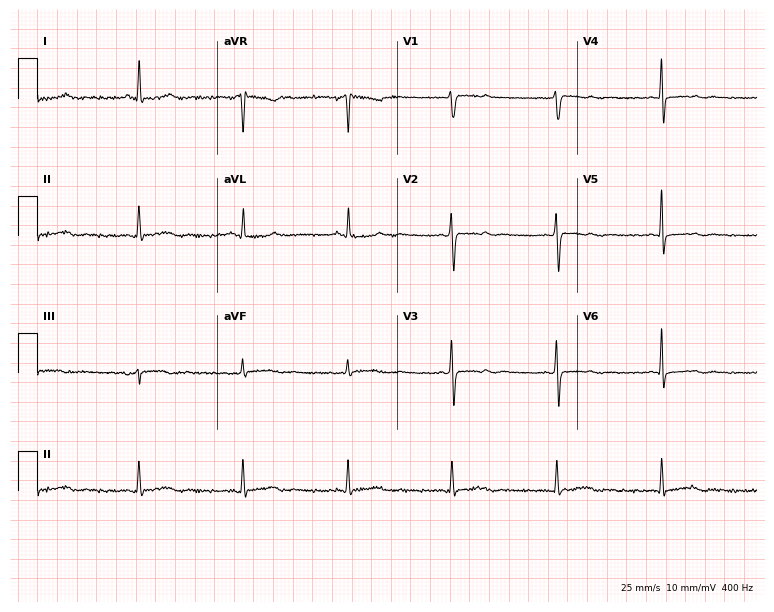
12-lead ECG from a woman, 50 years old. Screened for six findings — first-degree AV block, right bundle branch block (RBBB), left bundle branch block (LBBB), sinus bradycardia, atrial fibrillation (AF), sinus tachycardia — none is recorded.